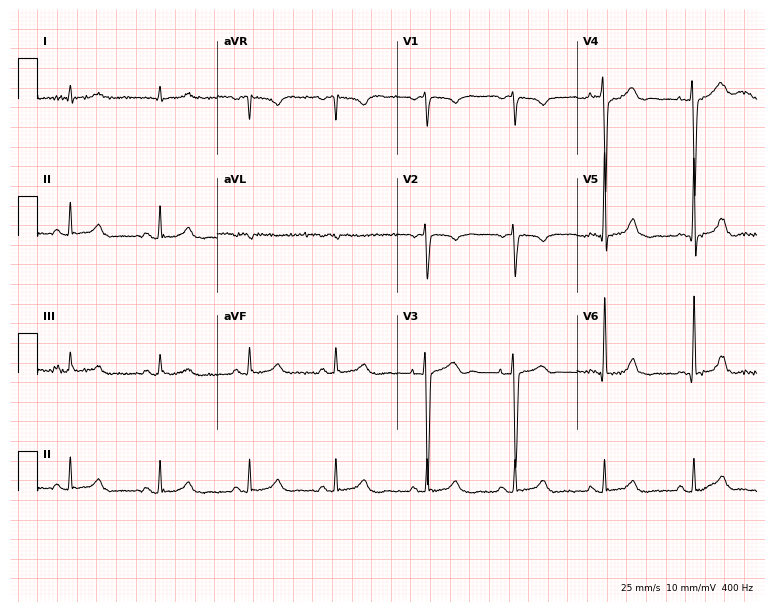
12-lead ECG from a male, 45 years old. Labelled as a normal ECG.